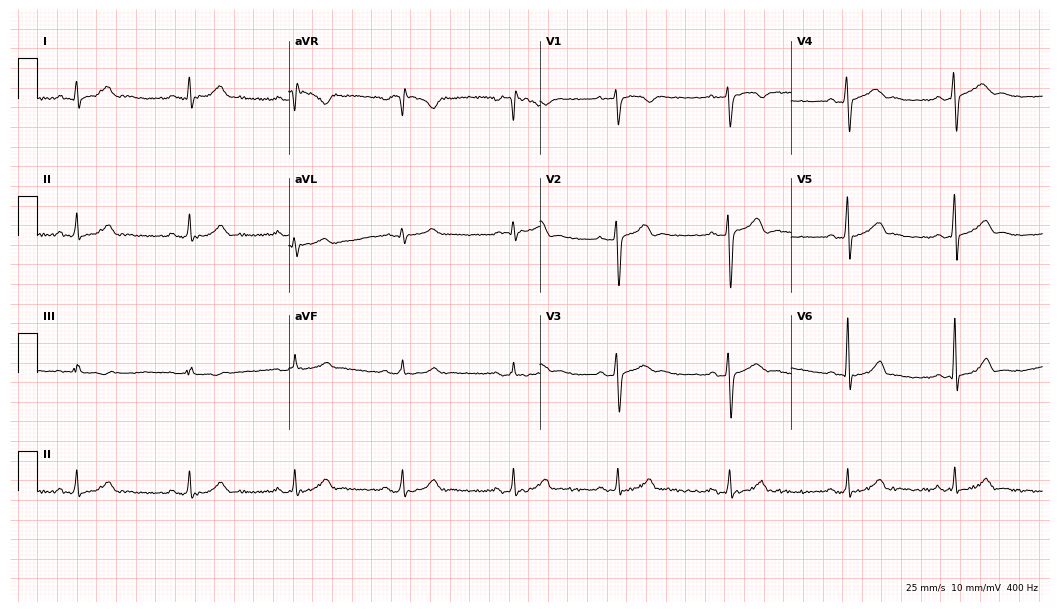
Resting 12-lead electrocardiogram. Patient: a male, 29 years old. Read as a normal ECG.